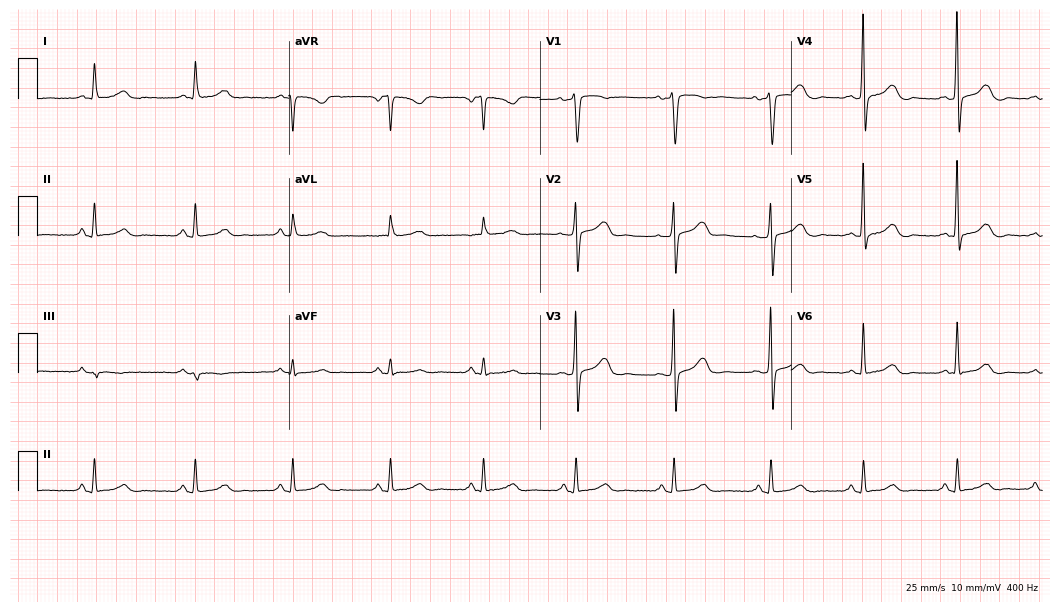
12-lead ECG from a female, 60 years old (10.2-second recording at 400 Hz). No first-degree AV block, right bundle branch block (RBBB), left bundle branch block (LBBB), sinus bradycardia, atrial fibrillation (AF) or sinus tachycardia recorded for this tracing.